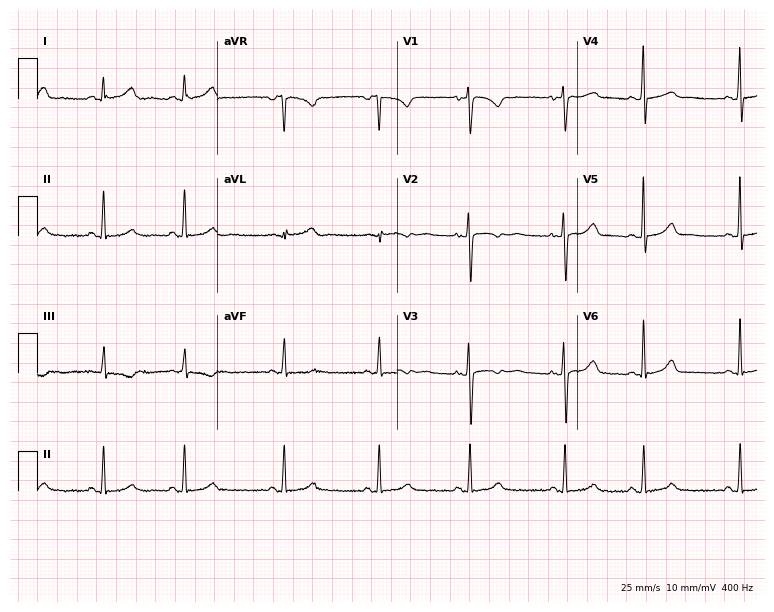
ECG — a female patient, 24 years old. Labelled as a normal ECG.